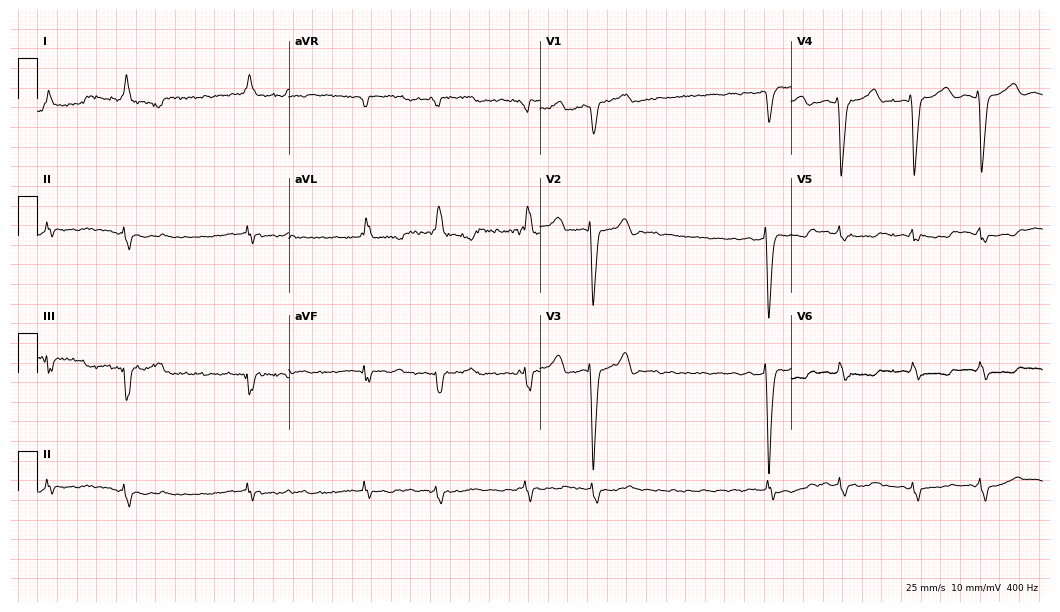
Electrocardiogram, an 81-year-old female. Interpretation includes left bundle branch block (LBBB), atrial fibrillation (AF).